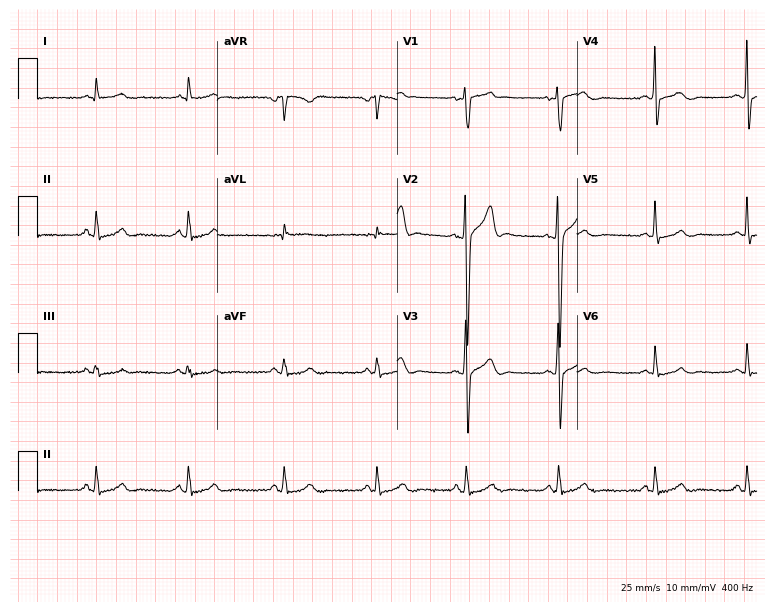
Electrocardiogram, a male, 43 years old. Overall reading on record: normal ECG.